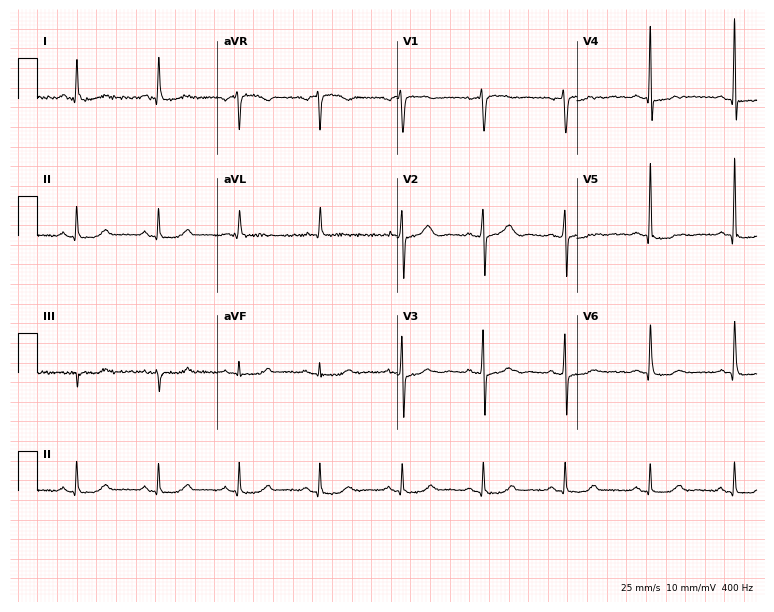
Standard 12-lead ECG recorded from a woman, 59 years old. None of these six findings is recorded: first-degree AV block, right bundle branch block, left bundle branch block, sinus bradycardia, atrial fibrillation, sinus tachycardia.